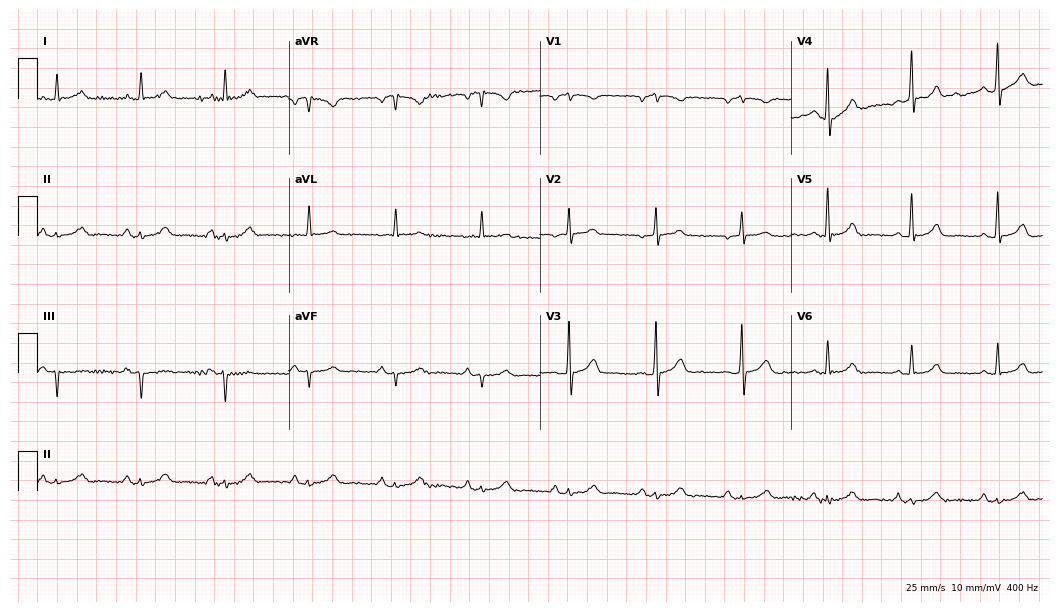
12-lead ECG (10.2-second recording at 400 Hz) from a male, 60 years old. Labelled as a normal ECG.